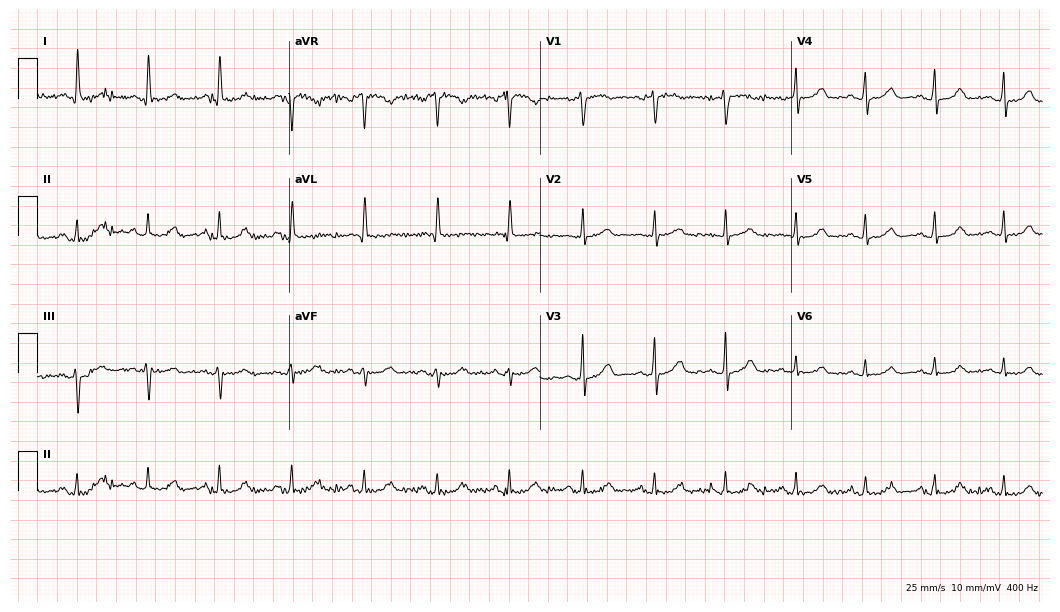
12-lead ECG (10.2-second recording at 400 Hz) from a 65-year-old woman. Labelled as a normal ECG.